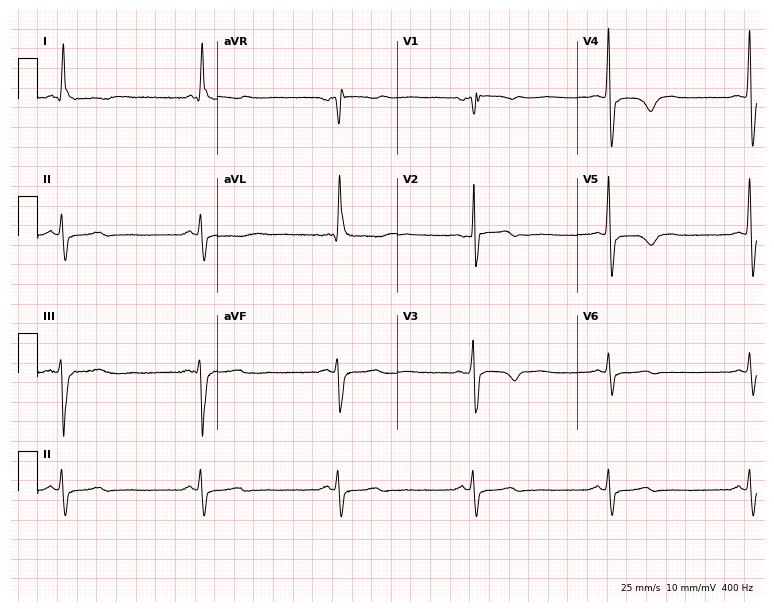
Standard 12-lead ECG recorded from a 79-year-old woman (7.3-second recording at 400 Hz). The tracing shows sinus bradycardia (a sinus rate of 50 beats per minute or less).